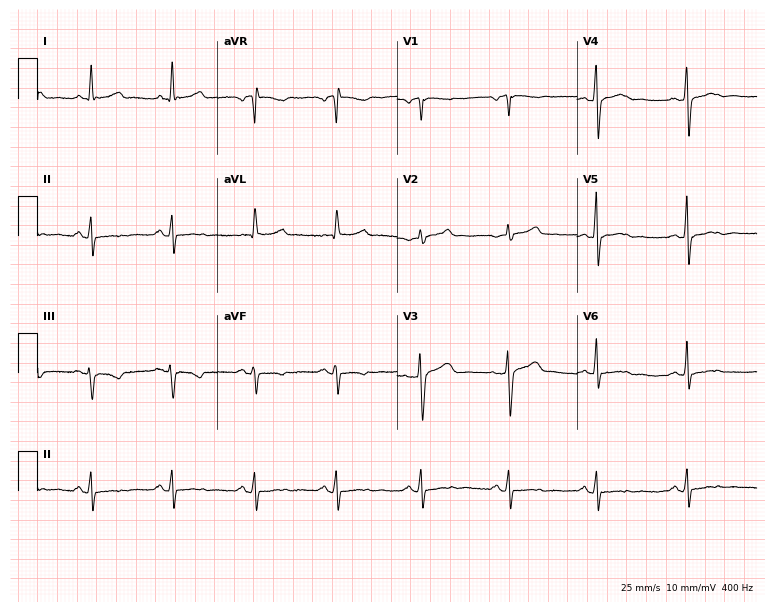
Standard 12-lead ECG recorded from a 49-year-old female. None of these six findings is recorded: first-degree AV block, right bundle branch block, left bundle branch block, sinus bradycardia, atrial fibrillation, sinus tachycardia. Findings outside these six are not listed.